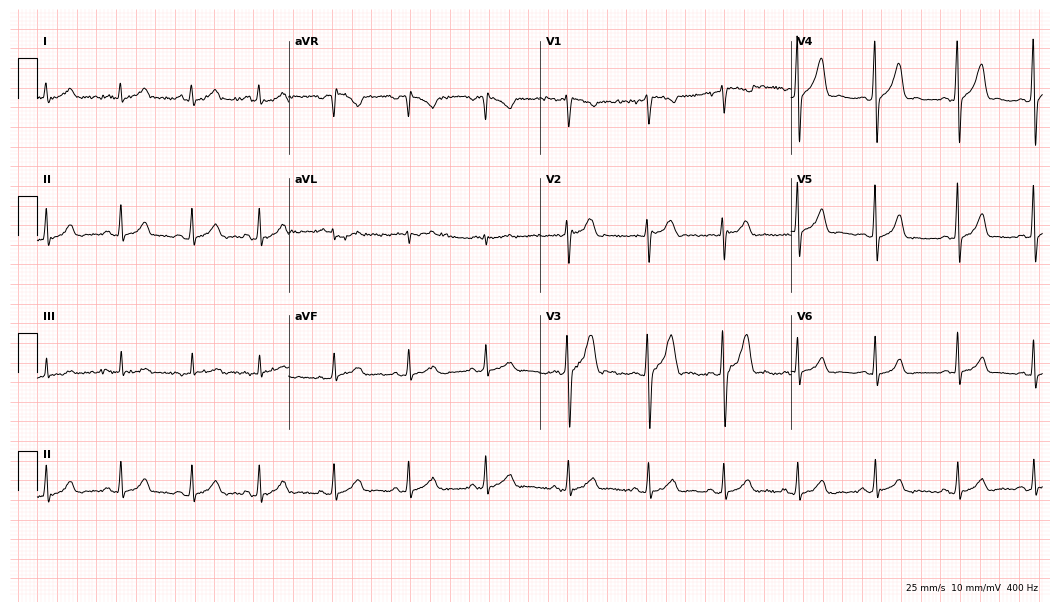
ECG (10.2-second recording at 400 Hz) — a 21-year-old male. Labelled as a normal ECG.